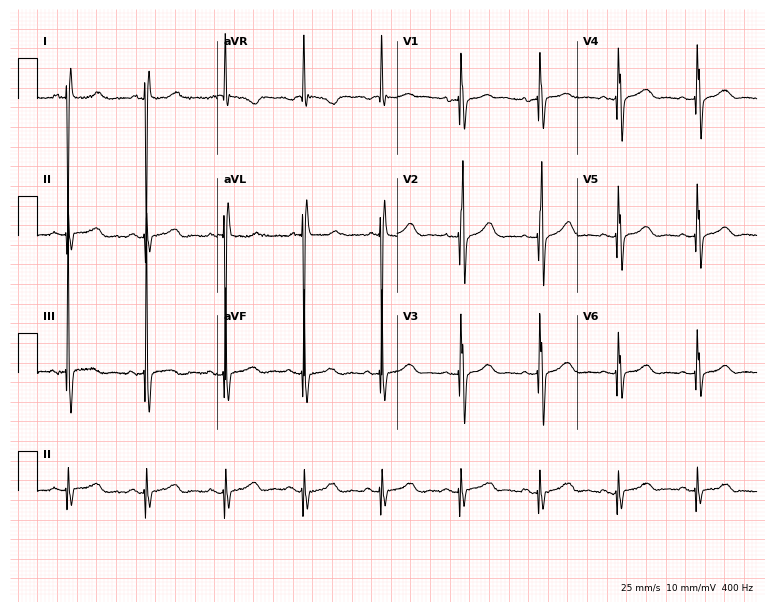
Standard 12-lead ECG recorded from an 83-year-old female patient. None of these six findings is recorded: first-degree AV block, right bundle branch block, left bundle branch block, sinus bradycardia, atrial fibrillation, sinus tachycardia. Findings outside these six are not listed.